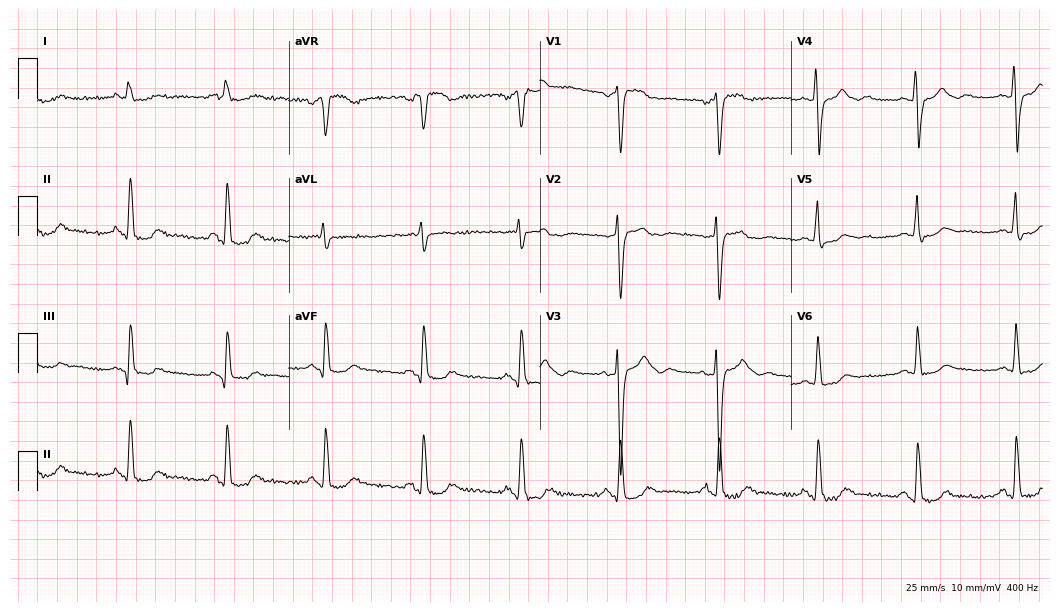
12-lead ECG (10.2-second recording at 400 Hz) from a female, 76 years old. Screened for six findings — first-degree AV block, right bundle branch block, left bundle branch block, sinus bradycardia, atrial fibrillation, sinus tachycardia — none is recorded. Only these six findings were labelled.